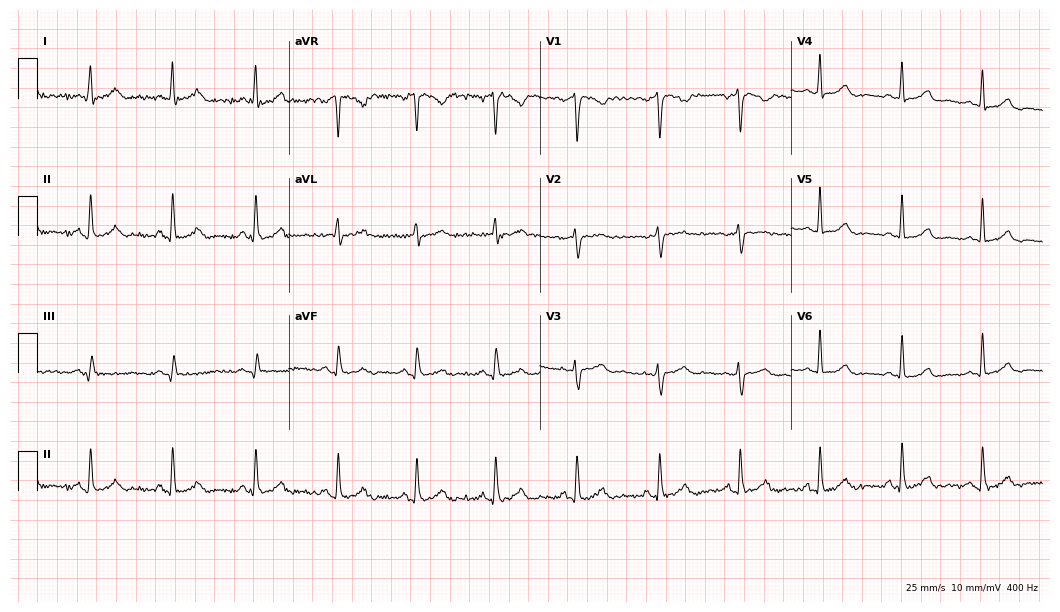
12-lead ECG (10.2-second recording at 400 Hz) from a 39-year-old female. Screened for six findings — first-degree AV block, right bundle branch block (RBBB), left bundle branch block (LBBB), sinus bradycardia, atrial fibrillation (AF), sinus tachycardia — none is recorded.